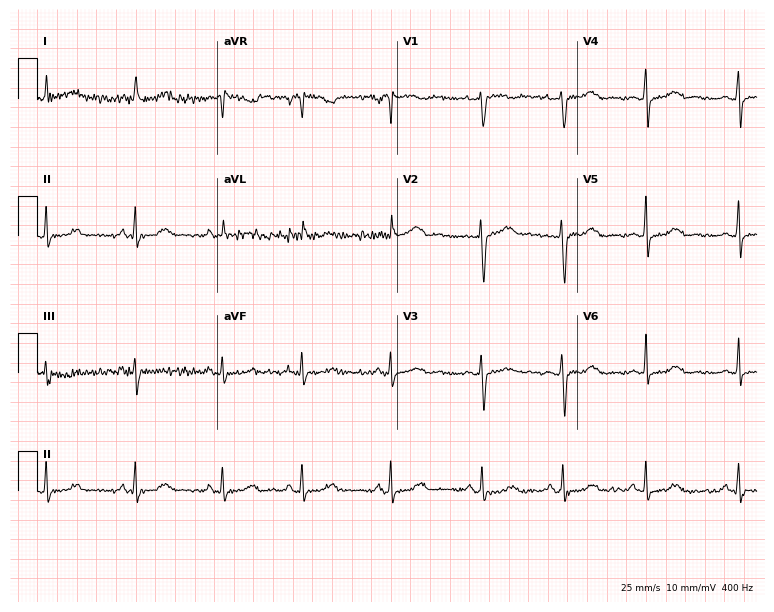
Electrocardiogram (7.3-second recording at 400 Hz), a woman, 69 years old. Overall reading on record: normal ECG.